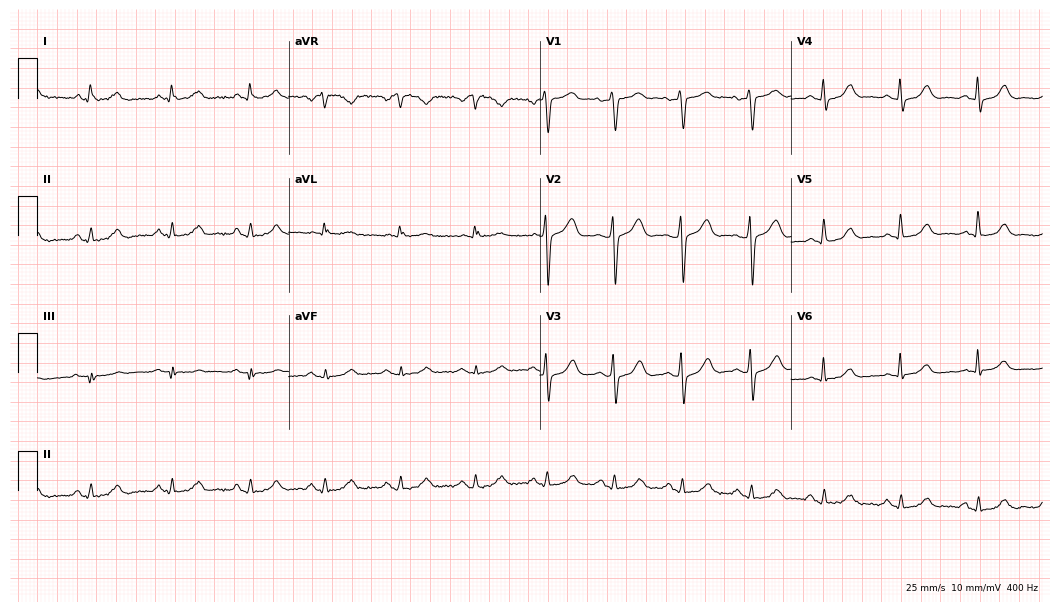
Standard 12-lead ECG recorded from a male patient, 69 years old (10.2-second recording at 400 Hz). Read as a normal ECG.